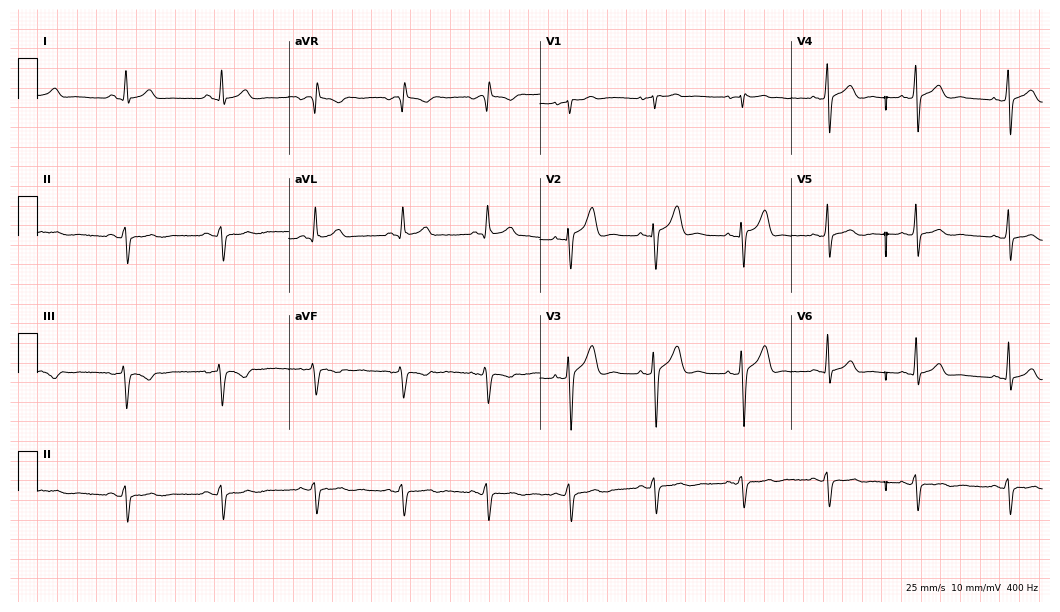
12-lead ECG from a 29-year-old male (10.2-second recording at 400 Hz). No first-degree AV block, right bundle branch block, left bundle branch block, sinus bradycardia, atrial fibrillation or sinus tachycardia recorded for this tracing. Only these six findings were labelled.